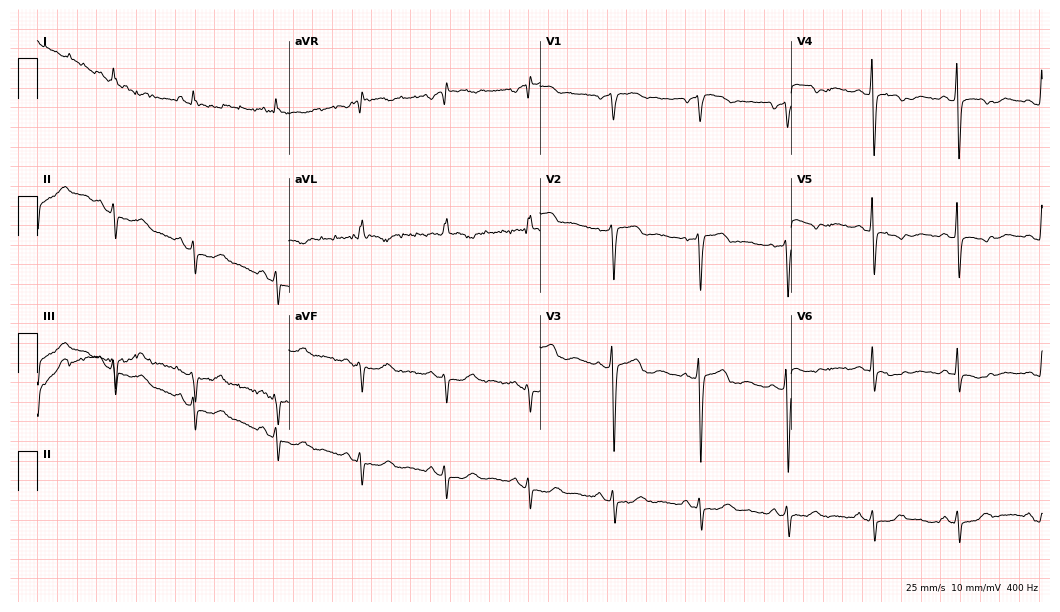
ECG — a female patient, 55 years old. Screened for six findings — first-degree AV block, right bundle branch block (RBBB), left bundle branch block (LBBB), sinus bradycardia, atrial fibrillation (AF), sinus tachycardia — none is recorded. Findings outside these six are not listed.